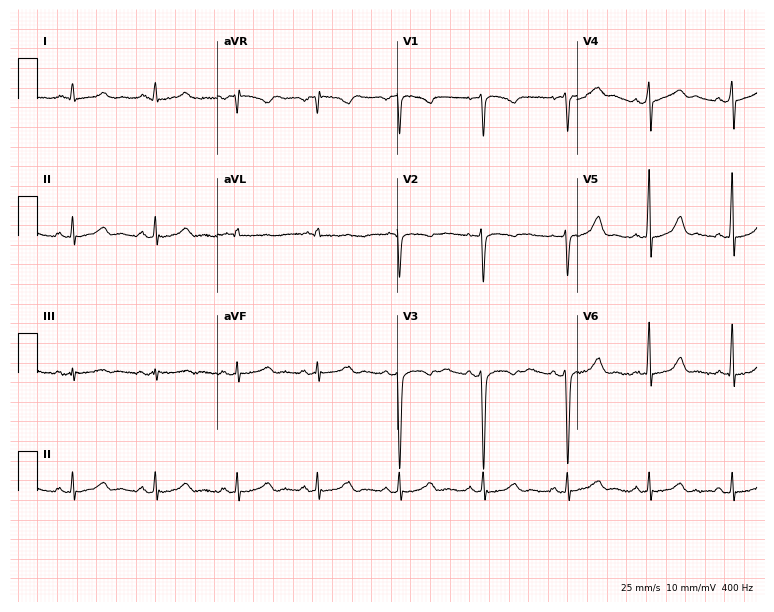
12-lead ECG from a 38-year-old woman (7.3-second recording at 400 Hz). No first-degree AV block, right bundle branch block, left bundle branch block, sinus bradycardia, atrial fibrillation or sinus tachycardia recorded for this tracing.